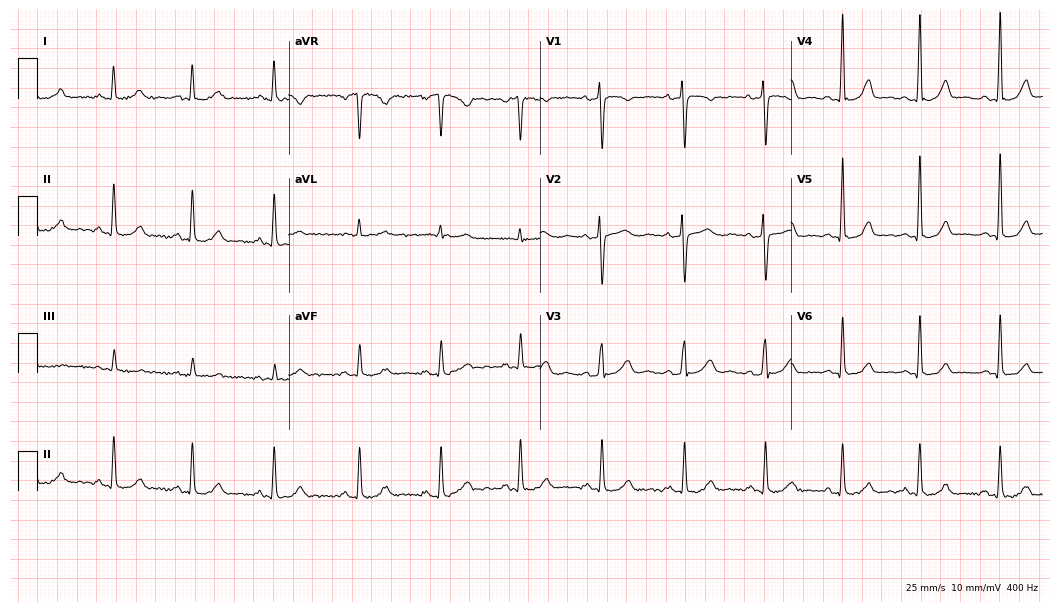
ECG (10.2-second recording at 400 Hz) — a 36-year-old female patient. Labelled as a normal ECG.